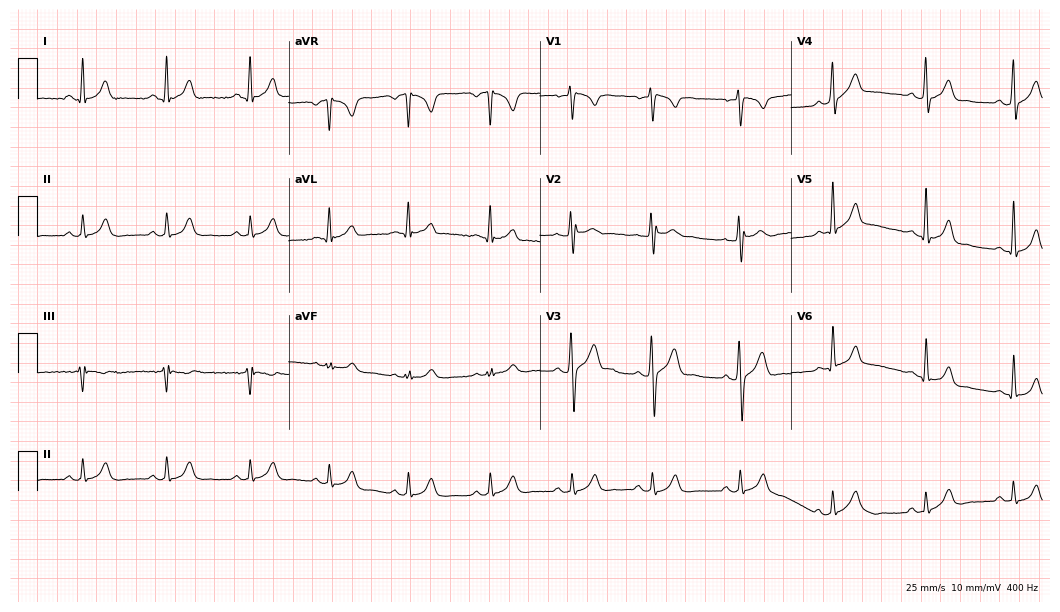
Resting 12-lead electrocardiogram (10.2-second recording at 400 Hz). Patient: a 24-year-old male. Read as a normal ECG.